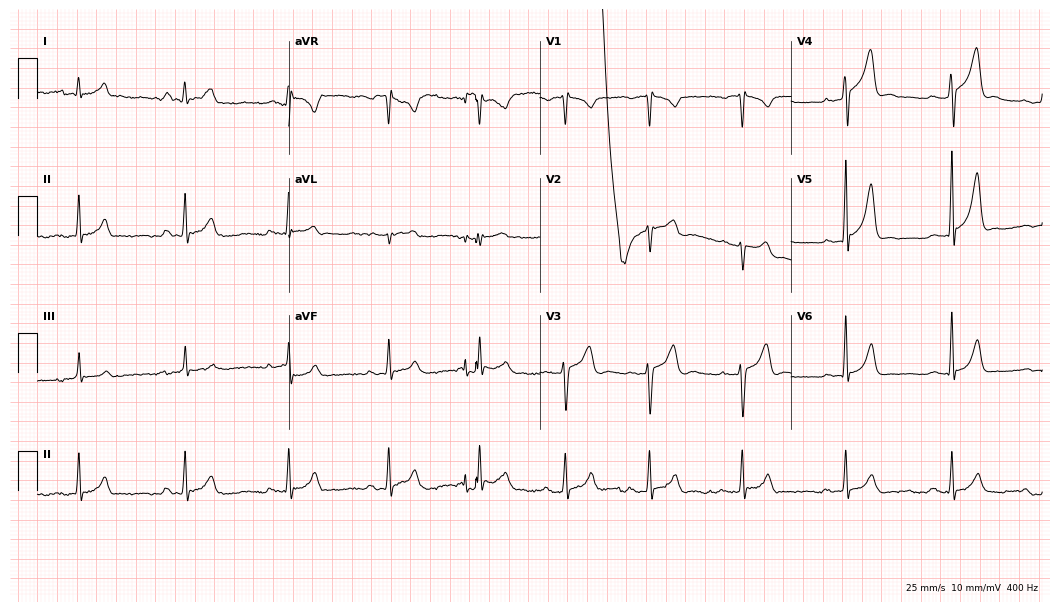
12-lead ECG (10.2-second recording at 400 Hz) from a man, 23 years old. Screened for six findings — first-degree AV block, right bundle branch block, left bundle branch block, sinus bradycardia, atrial fibrillation, sinus tachycardia — none is recorded.